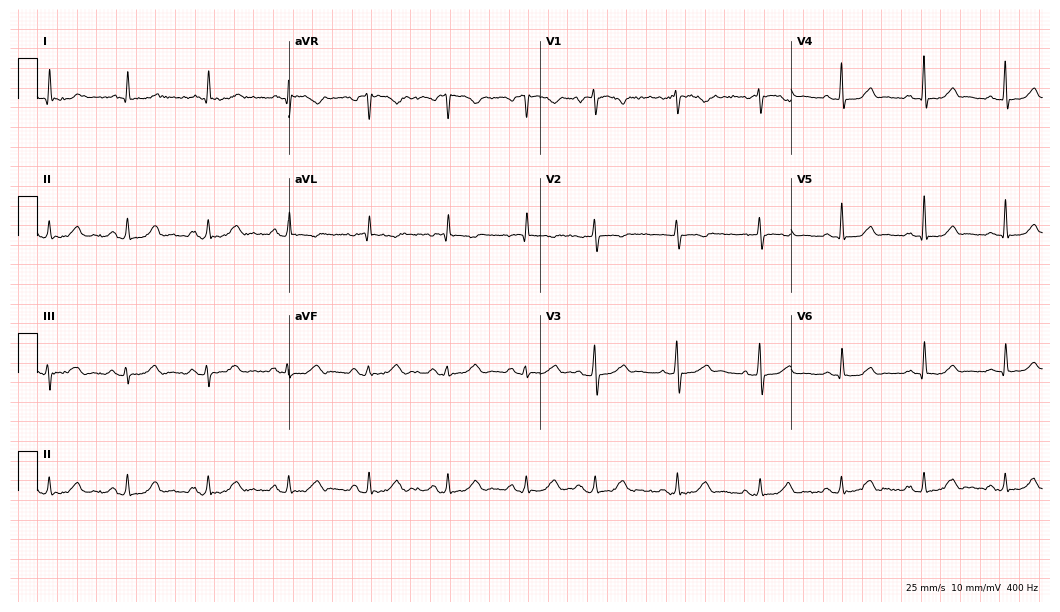
12-lead ECG from a female, 75 years old. No first-degree AV block, right bundle branch block, left bundle branch block, sinus bradycardia, atrial fibrillation or sinus tachycardia recorded for this tracing.